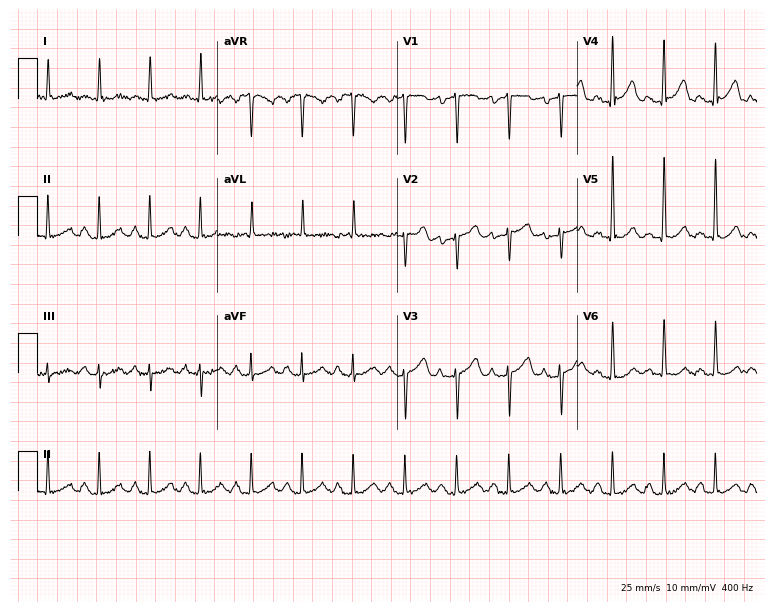
12-lead ECG (7.3-second recording at 400 Hz) from a 79-year-old woman. Findings include sinus tachycardia (a sinus rate of 100 beats per minute or more).